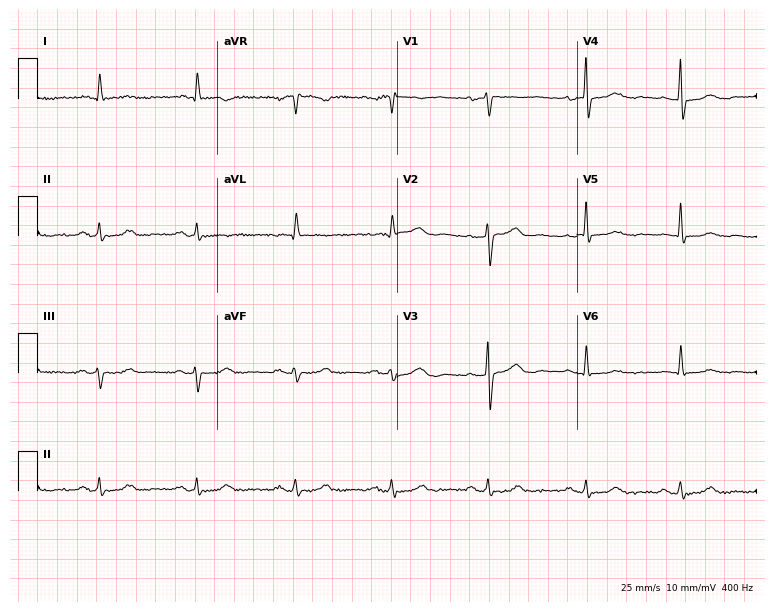
Standard 12-lead ECG recorded from a woman, 69 years old. None of these six findings is recorded: first-degree AV block, right bundle branch block, left bundle branch block, sinus bradycardia, atrial fibrillation, sinus tachycardia.